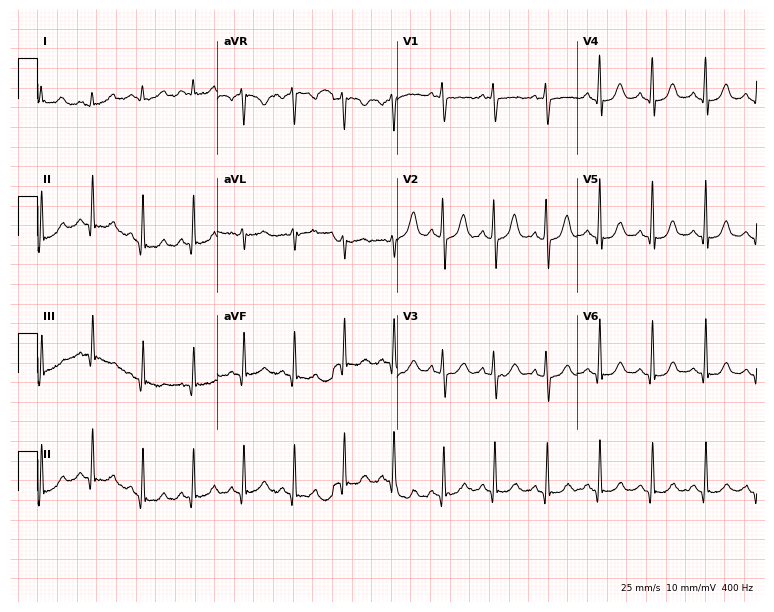
Standard 12-lead ECG recorded from a female patient, 38 years old. The tracing shows sinus tachycardia (a sinus rate of 100 beats per minute or more).